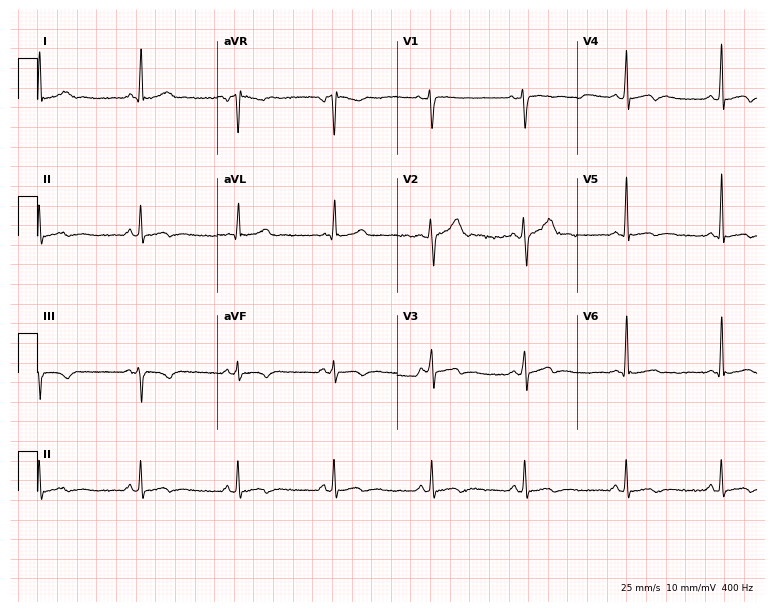
12-lead ECG from a male patient, 29 years old. No first-degree AV block, right bundle branch block, left bundle branch block, sinus bradycardia, atrial fibrillation or sinus tachycardia recorded for this tracing.